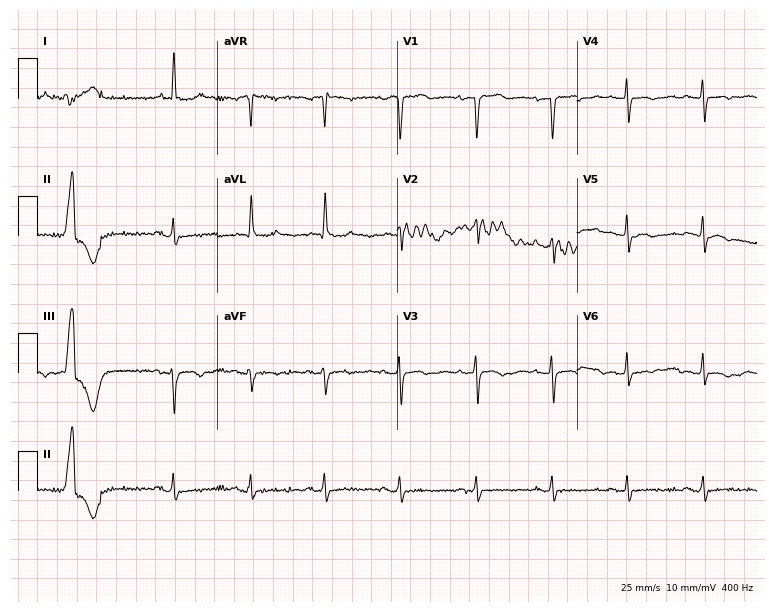
Standard 12-lead ECG recorded from a 78-year-old female. None of these six findings is recorded: first-degree AV block, right bundle branch block, left bundle branch block, sinus bradycardia, atrial fibrillation, sinus tachycardia. Findings outside these six are not listed.